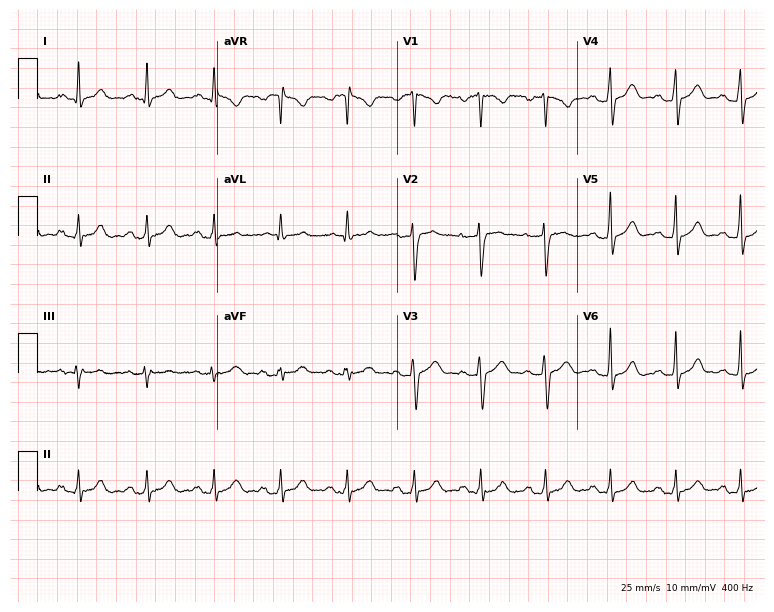
12-lead ECG from a male patient, 34 years old (7.3-second recording at 400 Hz). Recorded interpretation: within normal limits.